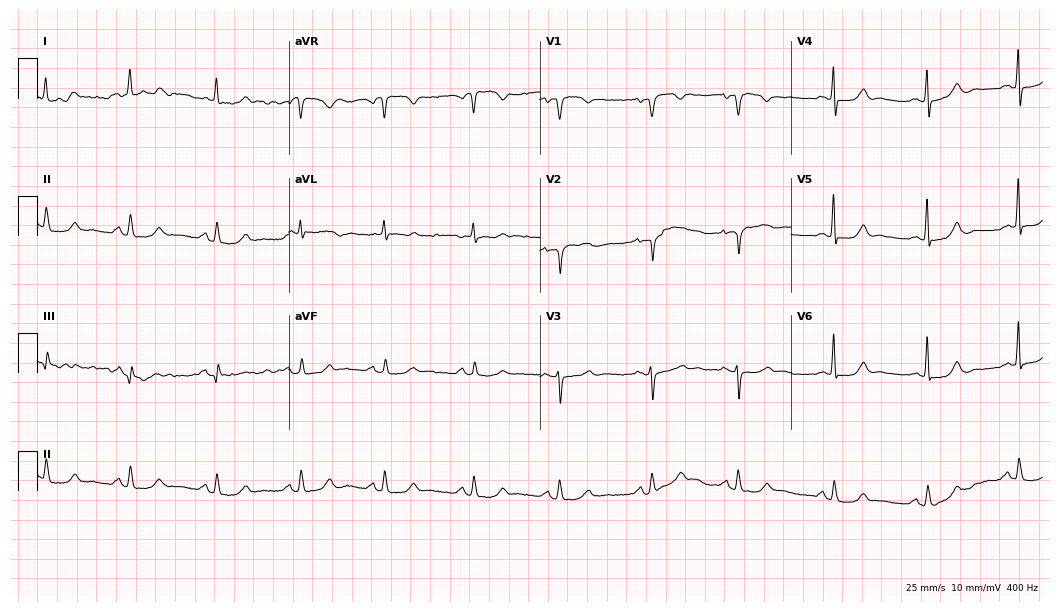
Resting 12-lead electrocardiogram. Patient: a 73-year-old woman. Read as a normal ECG.